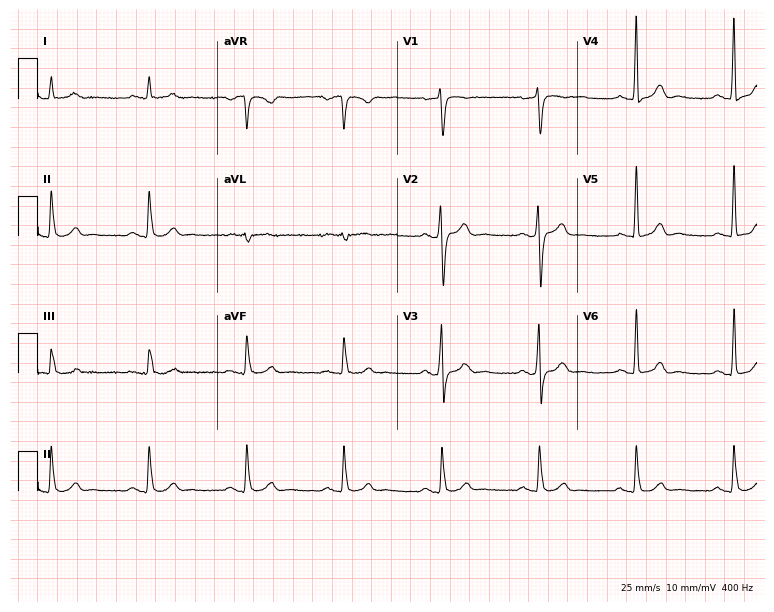
12-lead ECG from a 65-year-old male patient. Screened for six findings — first-degree AV block, right bundle branch block, left bundle branch block, sinus bradycardia, atrial fibrillation, sinus tachycardia — none is recorded. Only these six findings were labelled.